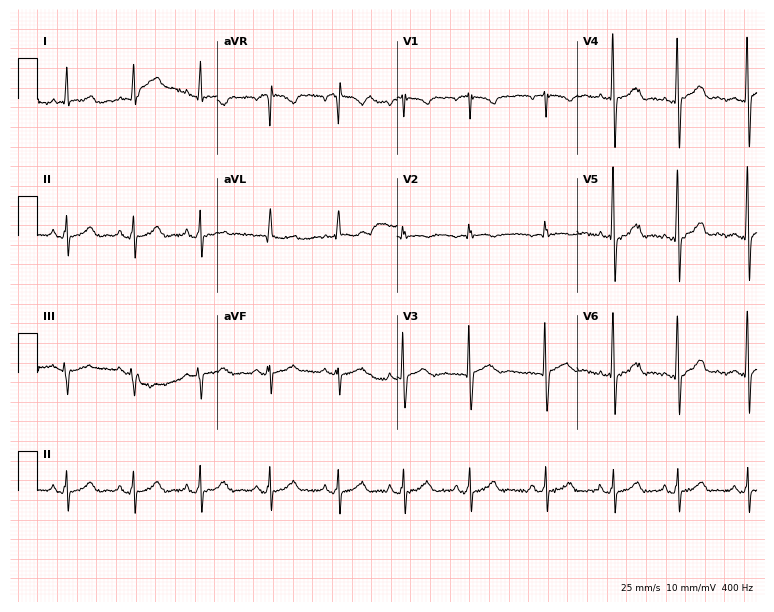
Electrocardiogram (7.3-second recording at 400 Hz), a female patient, 25 years old. Overall reading on record: normal ECG.